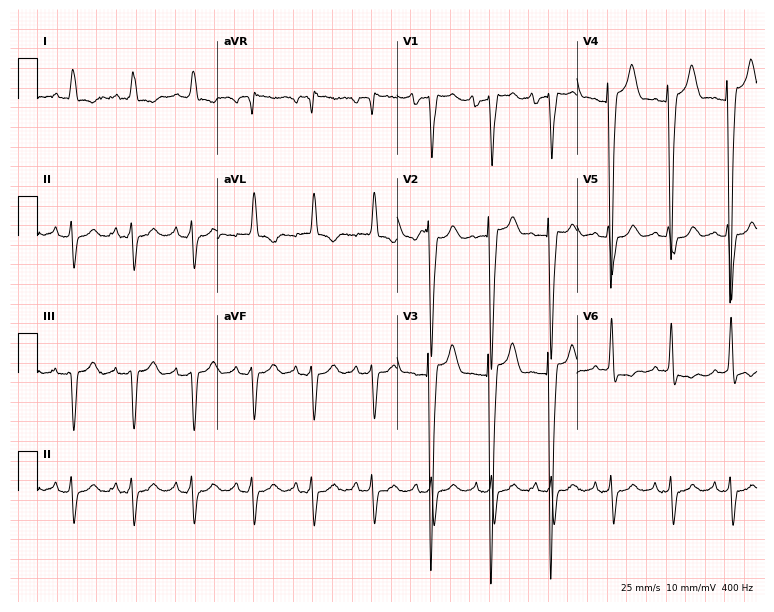
12-lead ECG (7.3-second recording at 400 Hz) from an 82-year-old female patient. Screened for six findings — first-degree AV block, right bundle branch block, left bundle branch block, sinus bradycardia, atrial fibrillation, sinus tachycardia — none is recorded.